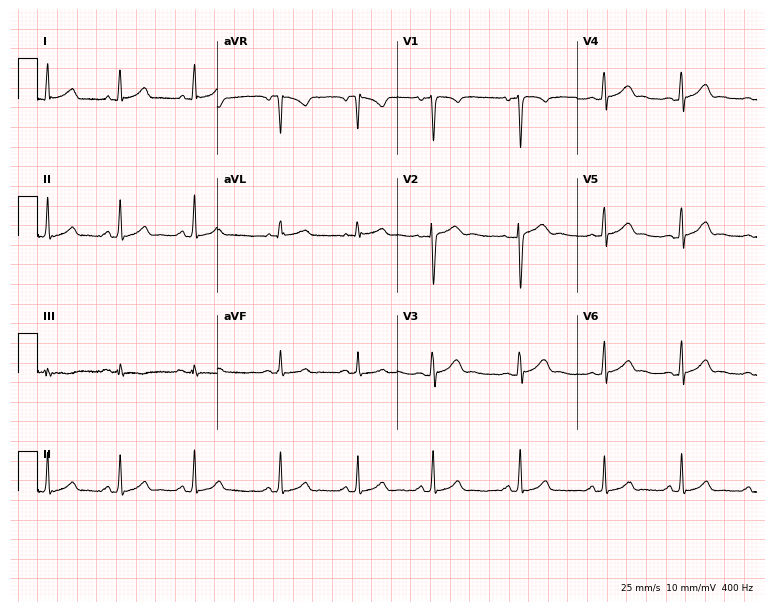
Resting 12-lead electrocardiogram. Patient: a 19-year-old female. Read as a normal ECG.